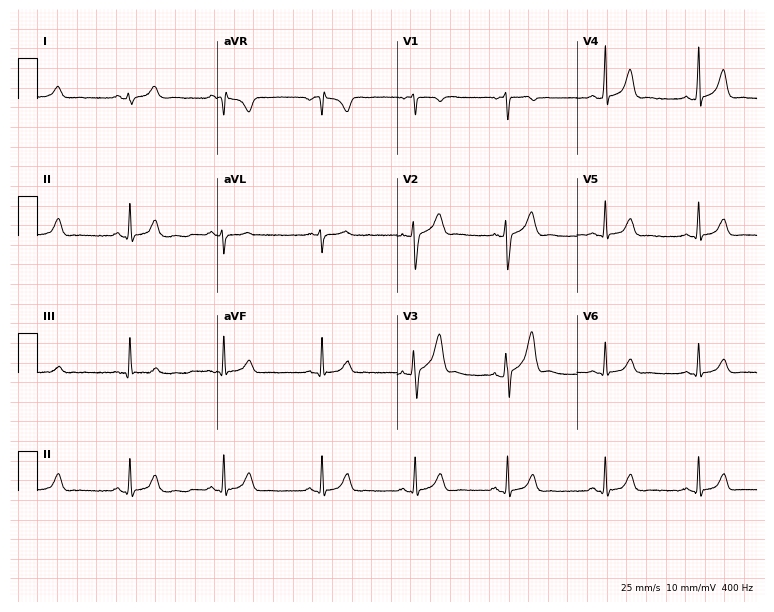
ECG (7.3-second recording at 400 Hz) — a 23-year-old man. Labelled as a normal ECG.